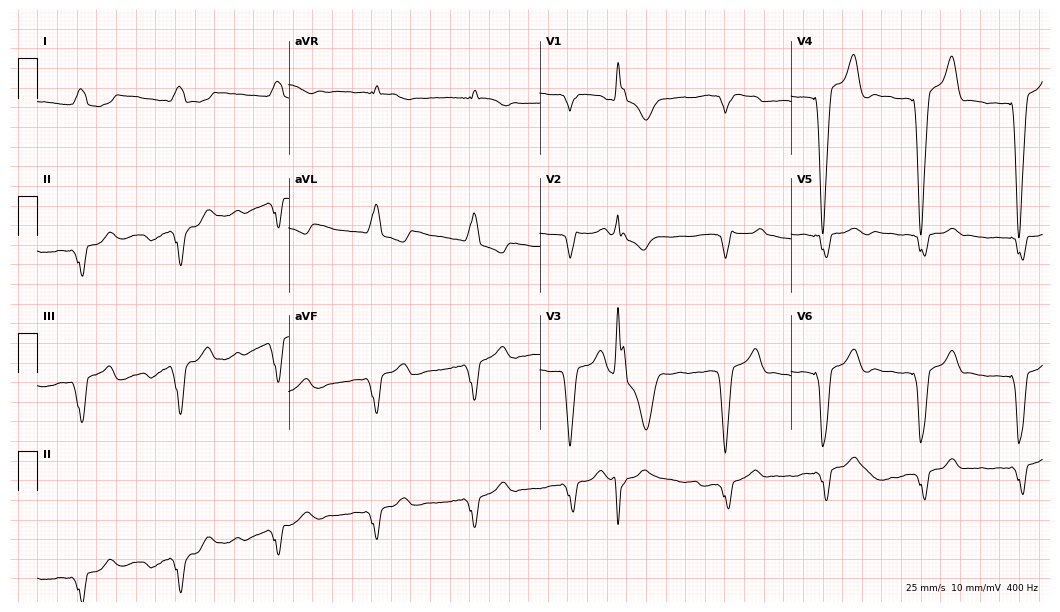
Resting 12-lead electrocardiogram. Patient: a 72-year-old woman. None of these six findings is recorded: first-degree AV block, right bundle branch block (RBBB), left bundle branch block (LBBB), sinus bradycardia, atrial fibrillation (AF), sinus tachycardia.